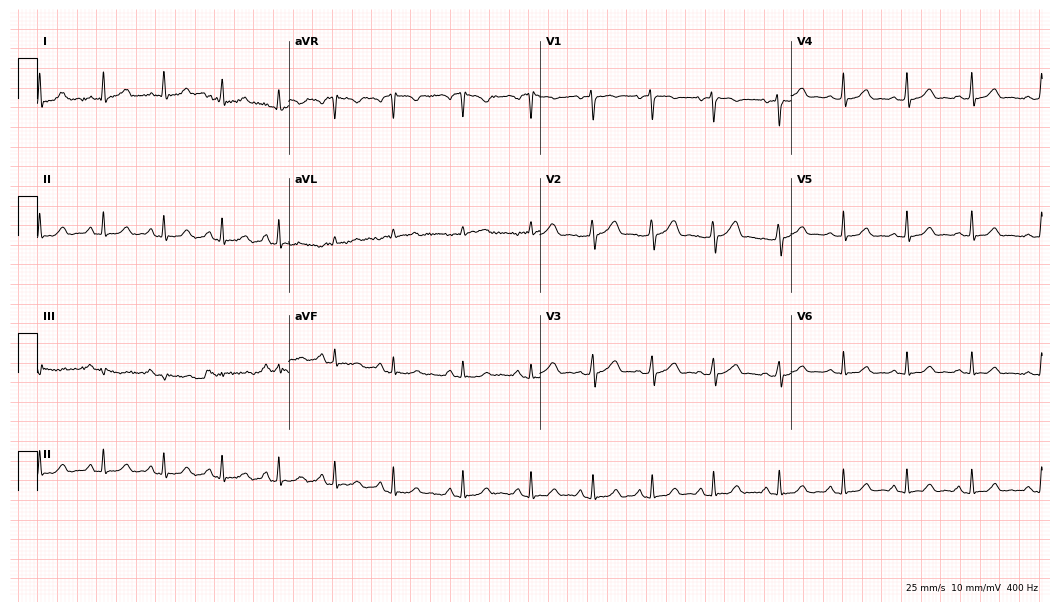
Electrocardiogram, a female patient, 20 years old. Of the six screened findings (first-degree AV block, right bundle branch block (RBBB), left bundle branch block (LBBB), sinus bradycardia, atrial fibrillation (AF), sinus tachycardia), none is recorded. Findings outside these six are not listed.